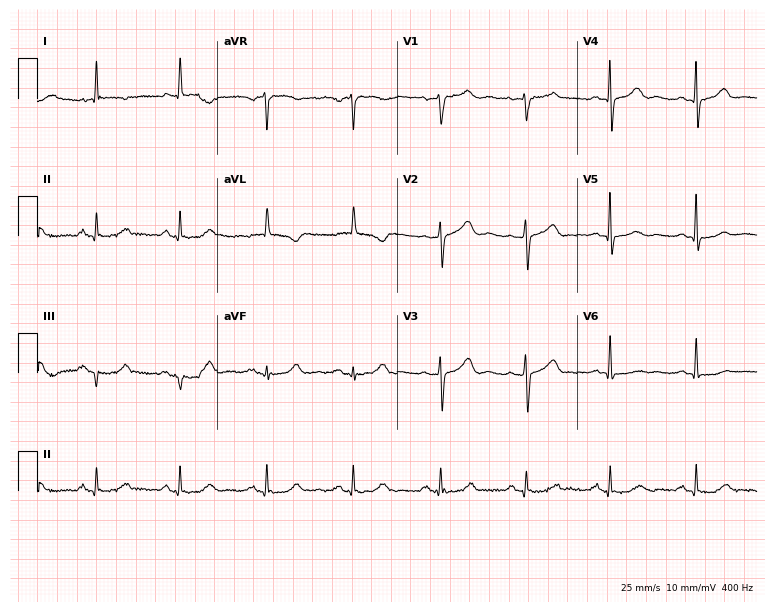
Resting 12-lead electrocardiogram (7.3-second recording at 400 Hz). Patient: a female, 53 years old. None of these six findings is recorded: first-degree AV block, right bundle branch block (RBBB), left bundle branch block (LBBB), sinus bradycardia, atrial fibrillation (AF), sinus tachycardia.